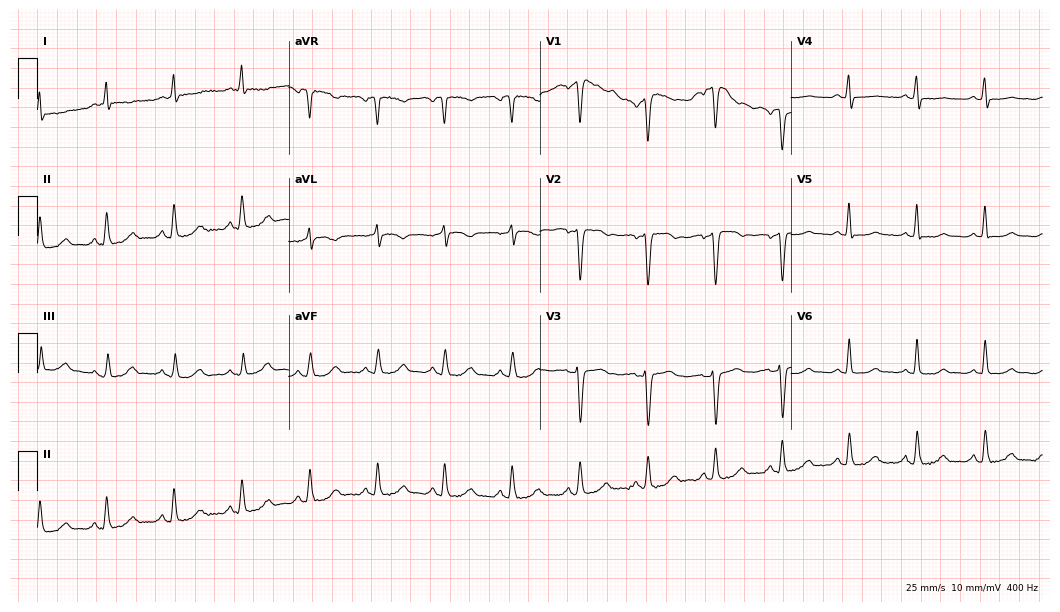
Standard 12-lead ECG recorded from a 42-year-old female patient. None of these six findings is recorded: first-degree AV block, right bundle branch block (RBBB), left bundle branch block (LBBB), sinus bradycardia, atrial fibrillation (AF), sinus tachycardia.